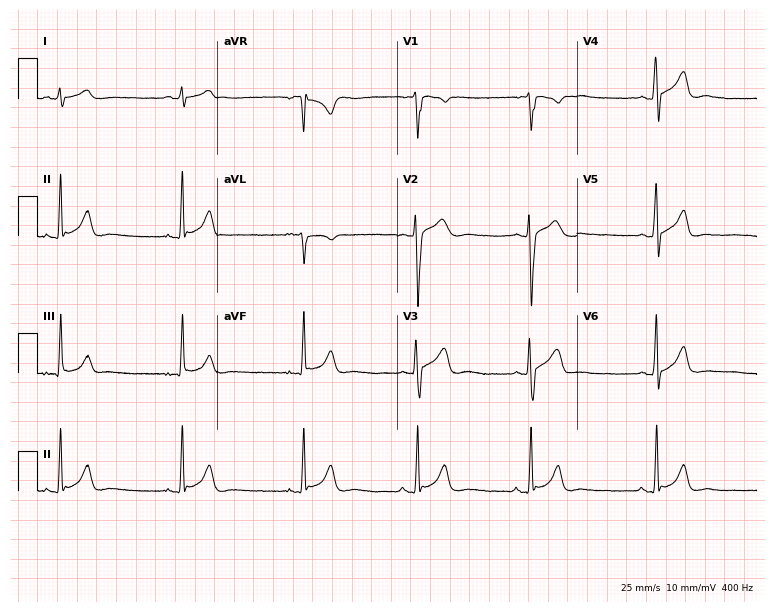
Electrocardiogram (7.3-second recording at 400 Hz), a 17-year-old male. Interpretation includes sinus bradycardia (a sinus rate of 50 beats per minute or less).